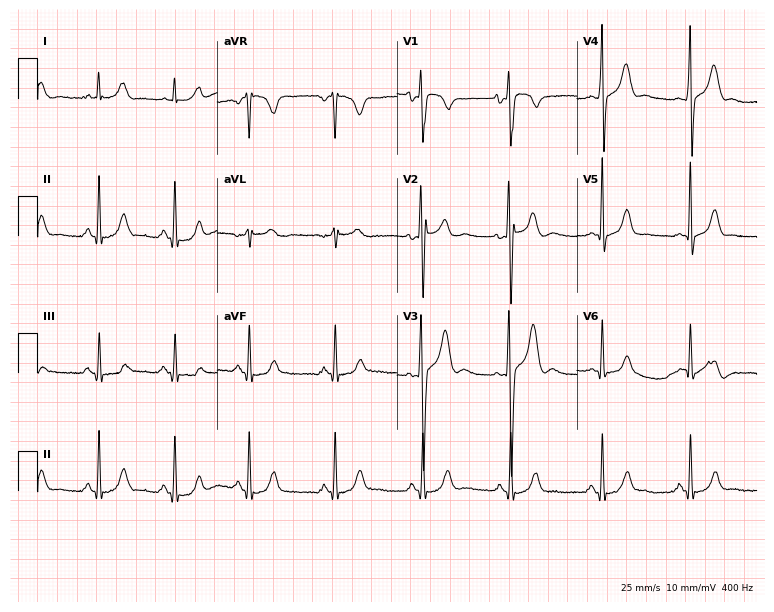
12-lead ECG from a male patient, 18 years old. Recorded interpretation: within normal limits.